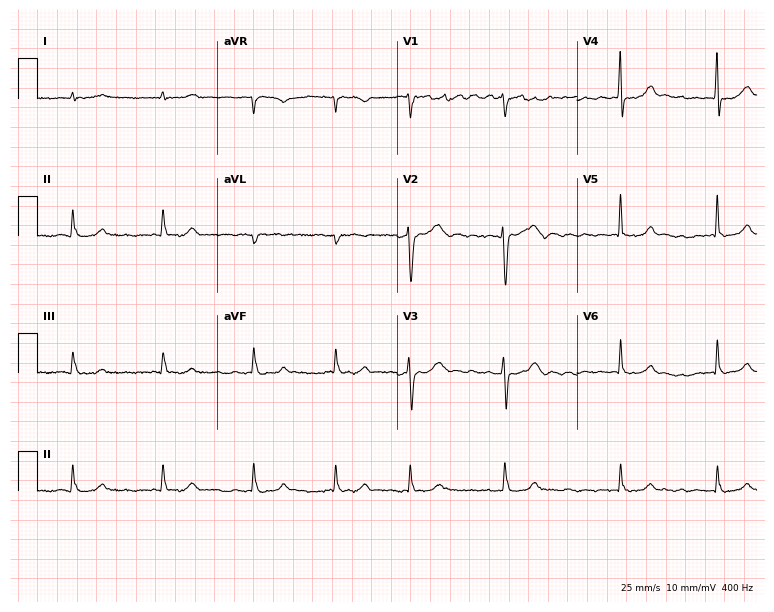
12-lead ECG (7.3-second recording at 400 Hz) from an 83-year-old male. Screened for six findings — first-degree AV block, right bundle branch block, left bundle branch block, sinus bradycardia, atrial fibrillation, sinus tachycardia — none is recorded.